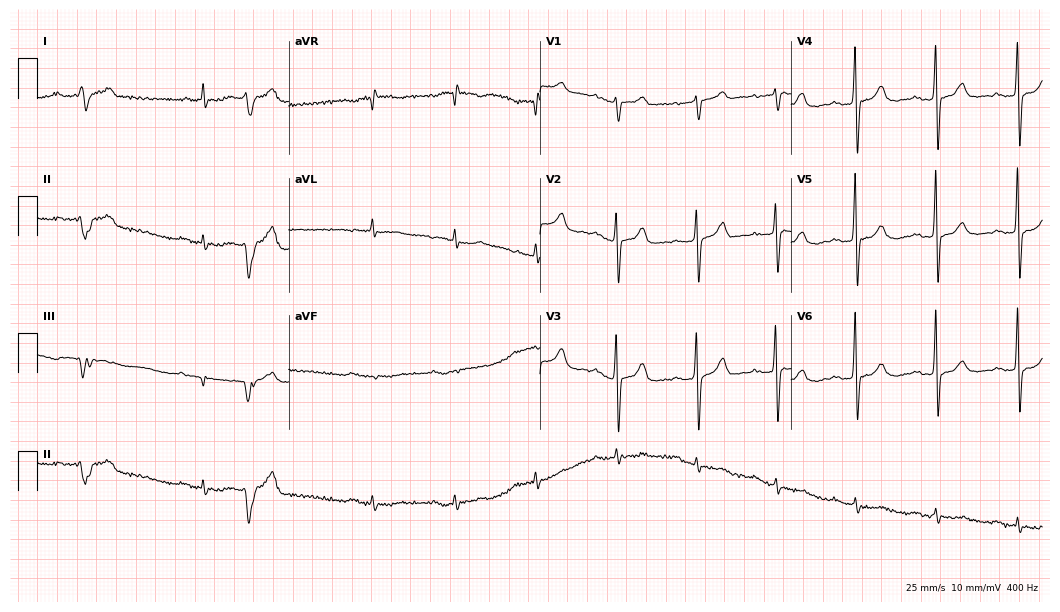
Electrocardiogram (10.2-second recording at 400 Hz), a 77-year-old man. Of the six screened findings (first-degree AV block, right bundle branch block (RBBB), left bundle branch block (LBBB), sinus bradycardia, atrial fibrillation (AF), sinus tachycardia), none is recorded. Other findings, if any, are not listed.